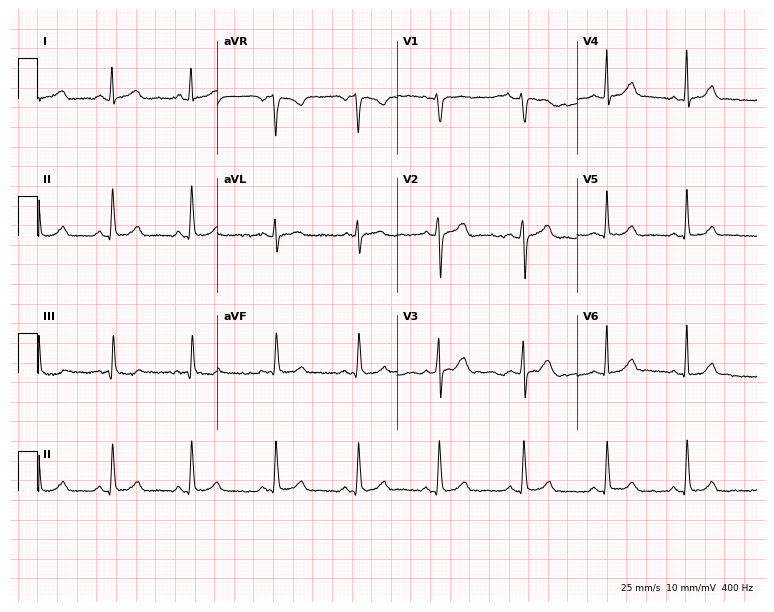
Resting 12-lead electrocardiogram. Patient: a female, 38 years old. Read as a normal ECG.